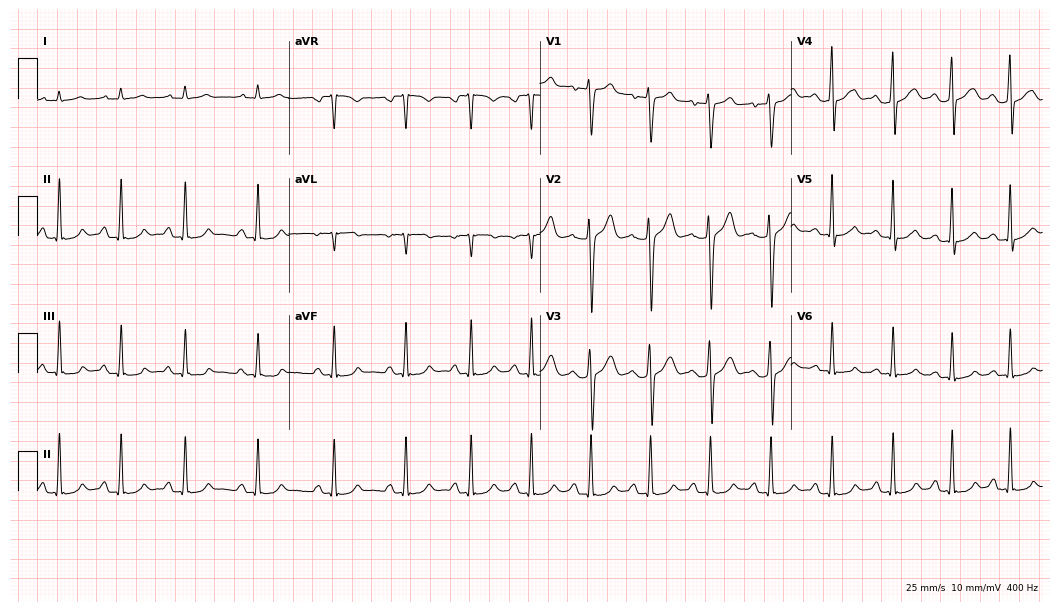
Resting 12-lead electrocardiogram. Patient: a man, 29 years old. None of these six findings is recorded: first-degree AV block, right bundle branch block, left bundle branch block, sinus bradycardia, atrial fibrillation, sinus tachycardia.